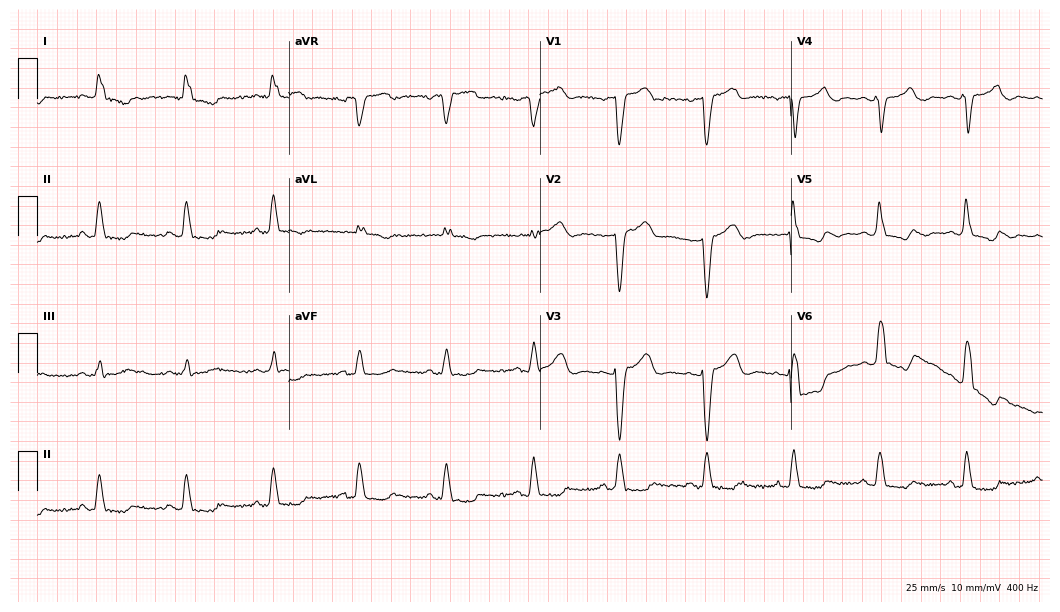
12-lead ECG from a woman, 78 years old. Shows left bundle branch block.